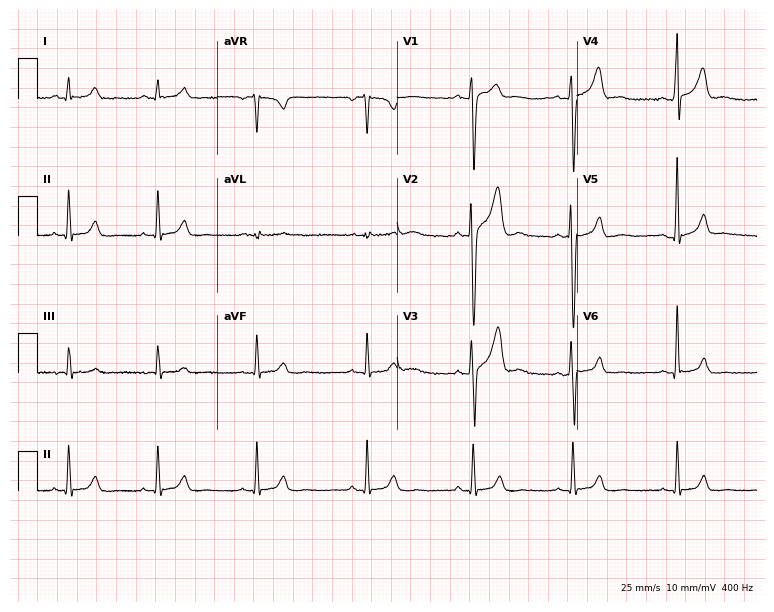
12-lead ECG (7.3-second recording at 400 Hz) from a 20-year-old male. Labelled as a normal ECG.